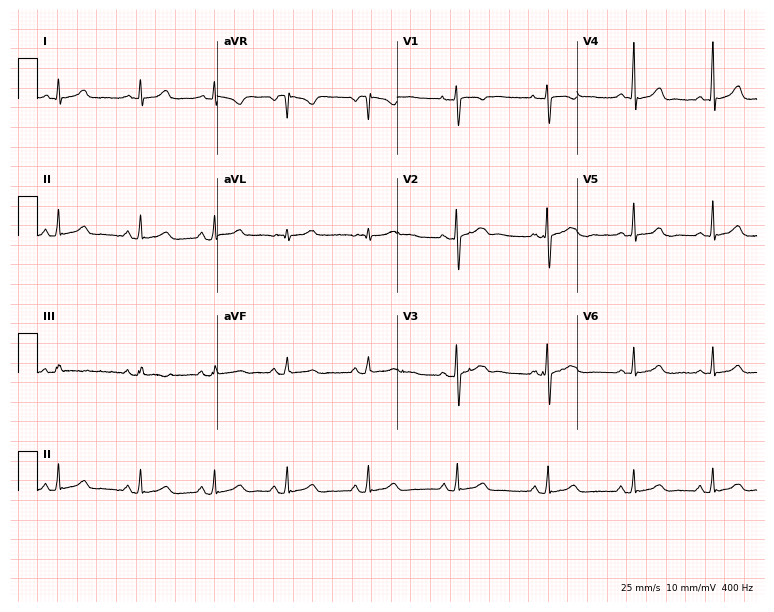
ECG (7.3-second recording at 400 Hz) — a 25-year-old female. Labelled as a normal ECG.